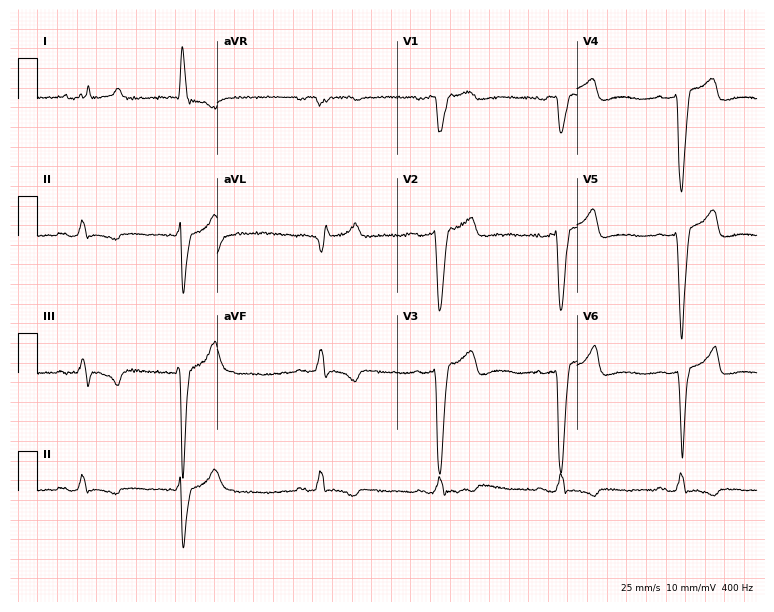
ECG — a female patient, 83 years old. Screened for six findings — first-degree AV block, right bundle branch block, left bundle branch block, sinus bradycardia, atrial fibrillation, sinus tachycardia — none is recorded. Only these six findings were labelled.